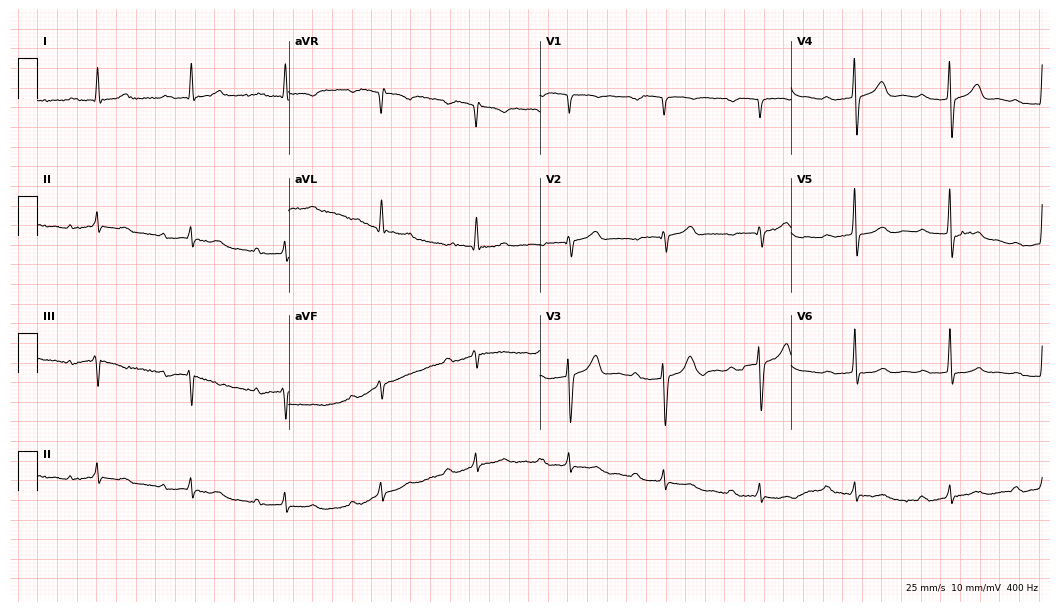
Electrocardiogram (10.2-second recording at 400 Hz), an 84-year-old male patient. Interpretation includes first-degree AV block.